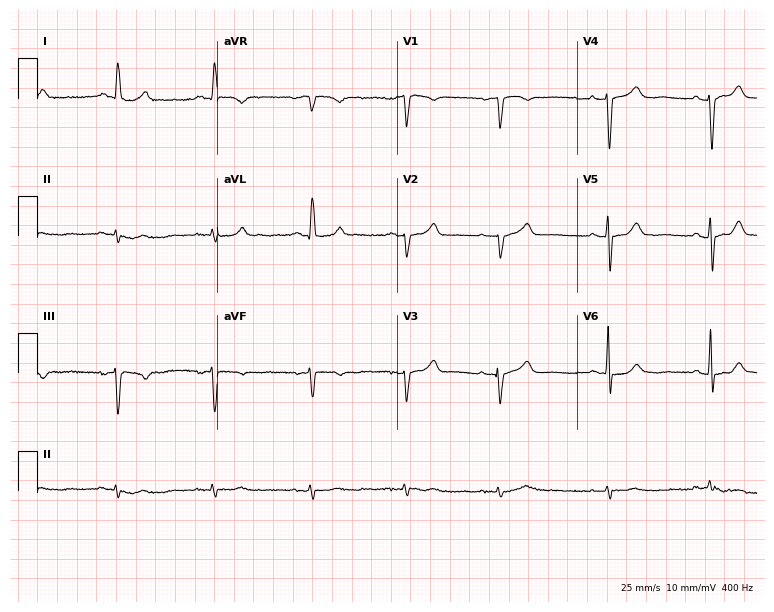
Resting 12-lead electrocardiogram (7.3-second recording at 400 Hz). Patient: a 72-year-old female. Read as a normal ECG.